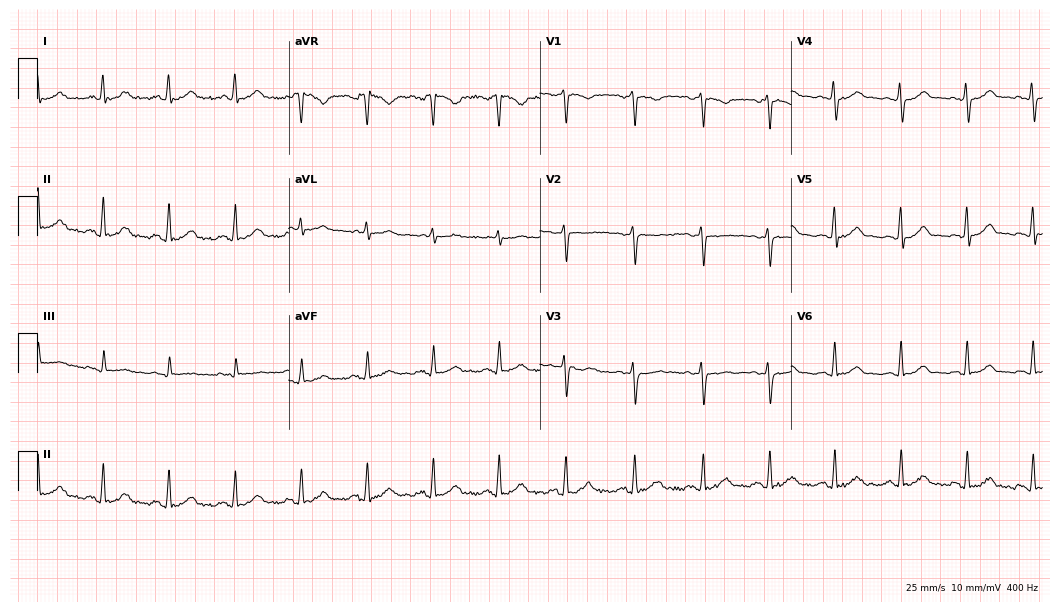
ECG — a 44-year-old female patient. Labelled as a normal ECG.